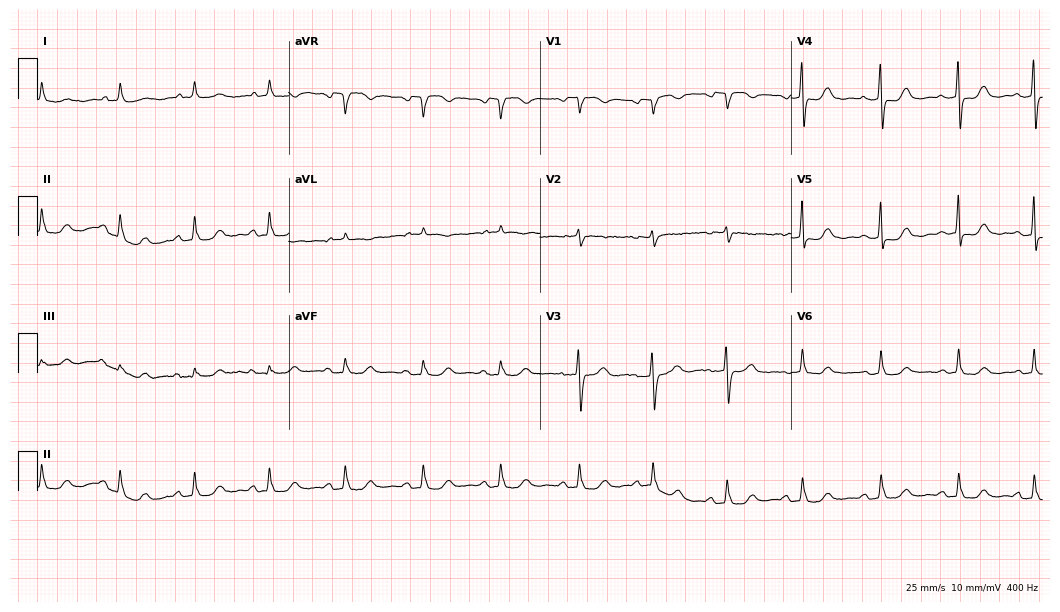
12-lead ECG from a woman, 79 years old (10.2-second recording at 400 Hz). No first-degree AV block, right bundle branch block, left bundle branch block, sinus bradycardia, atrial fibrillation or sinus tachycardia recorded for this tracing.